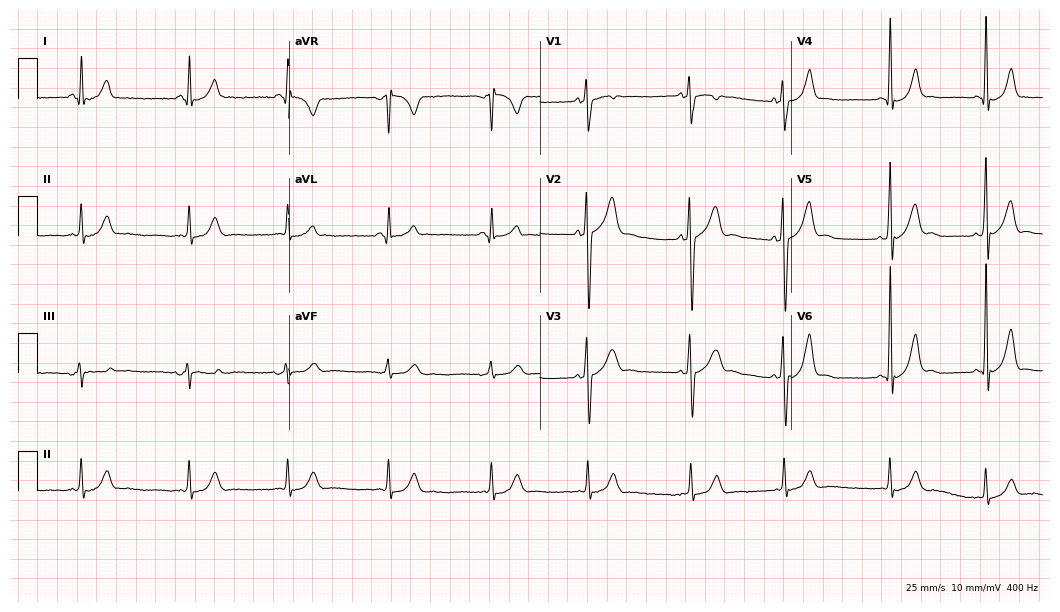
ECG (10.2-second recording at 400 Hz) — a male patient, 17 years old. Screened for six findings — first-degree AV block, right bundle branch block (RBBB), left bundle branch block (LBBB), sinus bradycardia, atrial fibrillation (AF), sinus tachycardia — none is recorded. Findings outside these six are not listed.